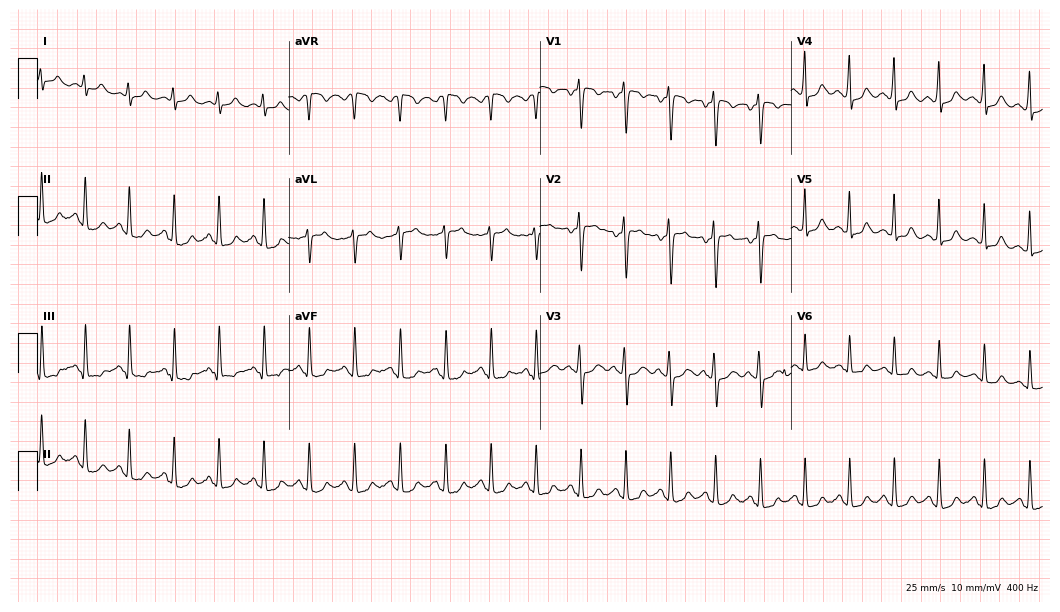
ECG (10.2-second recording at 400 Hz) — a female, 19 years old. Screened for six findings — first-degree AV block, right bundle branch block, left bundle branch block, sinus bradycardia, atrial fibrillation, sinus tachycardia — none is recorded. Findings outside these six are not listed.